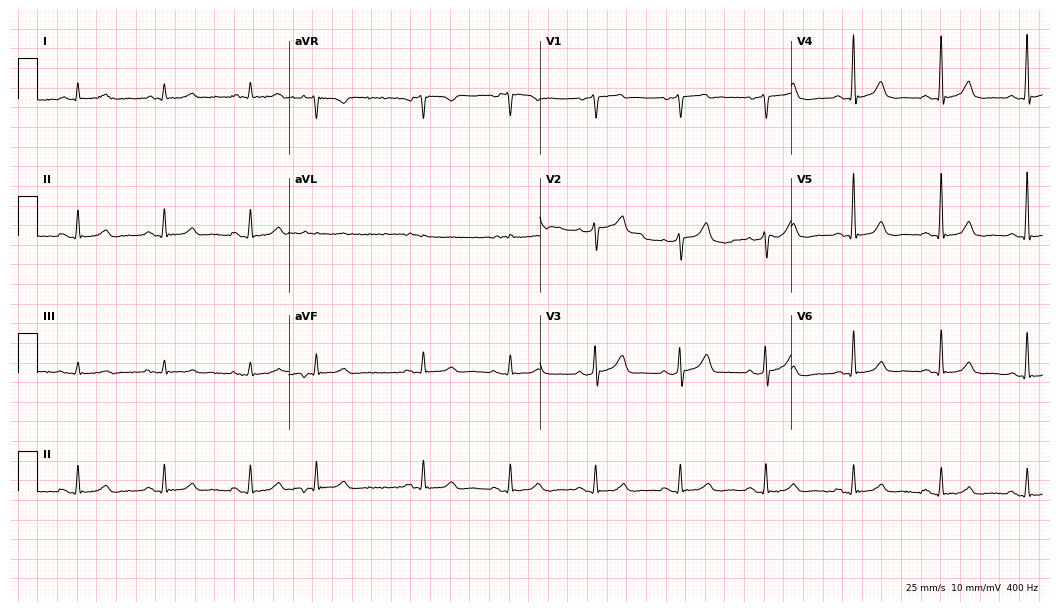
Electrocardiogram, an 84-year-old male patient. Of the six screened findings (first-degree AV block, right bundle branch block, left bundle branch block, sinus bradycardia, atrial fibrillation, sinus tachycardia), none is recorded. Other findings, if any, are not listed.